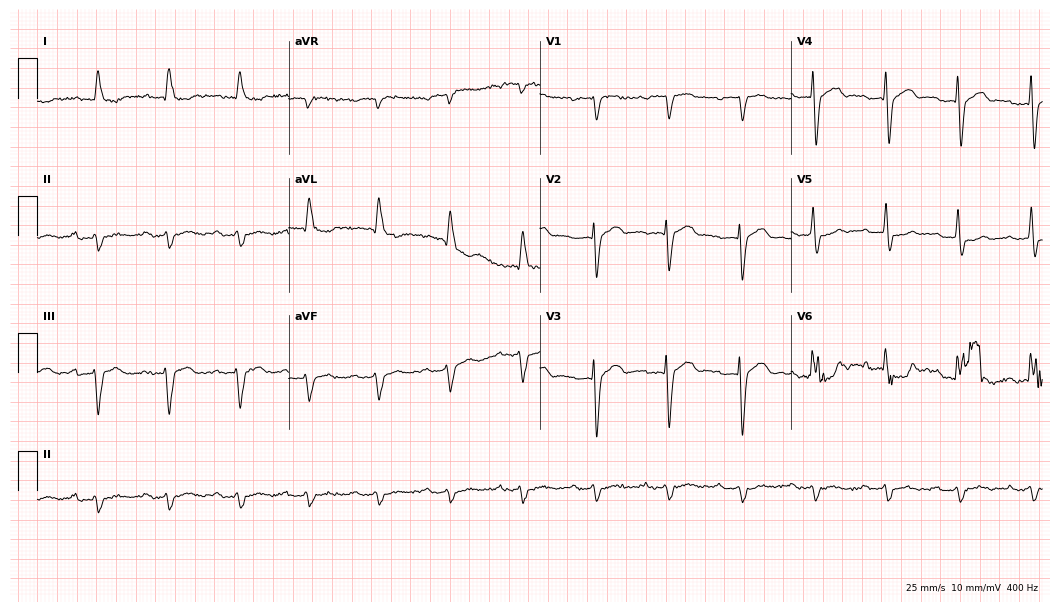
Standard 12-lead ECG recorded from an 81-year-old male patient (10.2-second recording at 400 Hz). The tracing shows first-degree AV block, atrial fibrillation.